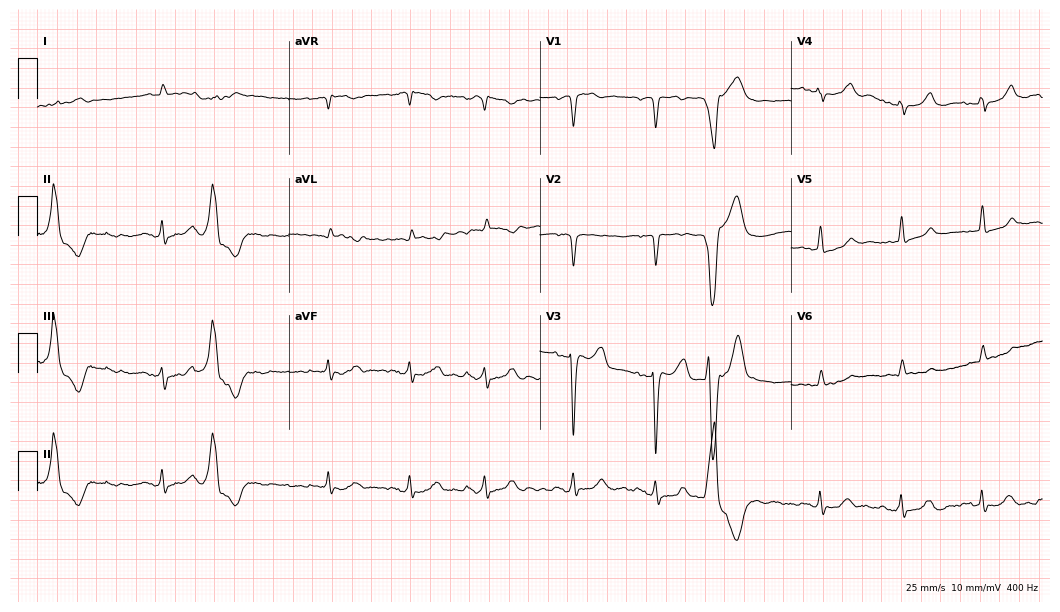
Electrocardiogram, a male patient, 61 years old. Of the six screened findings (first-degree AV block, right bundle branch block, left bundle branch block, sinus bradycardia, atrial fibrillation, sinus tachycardia), none is recorded.